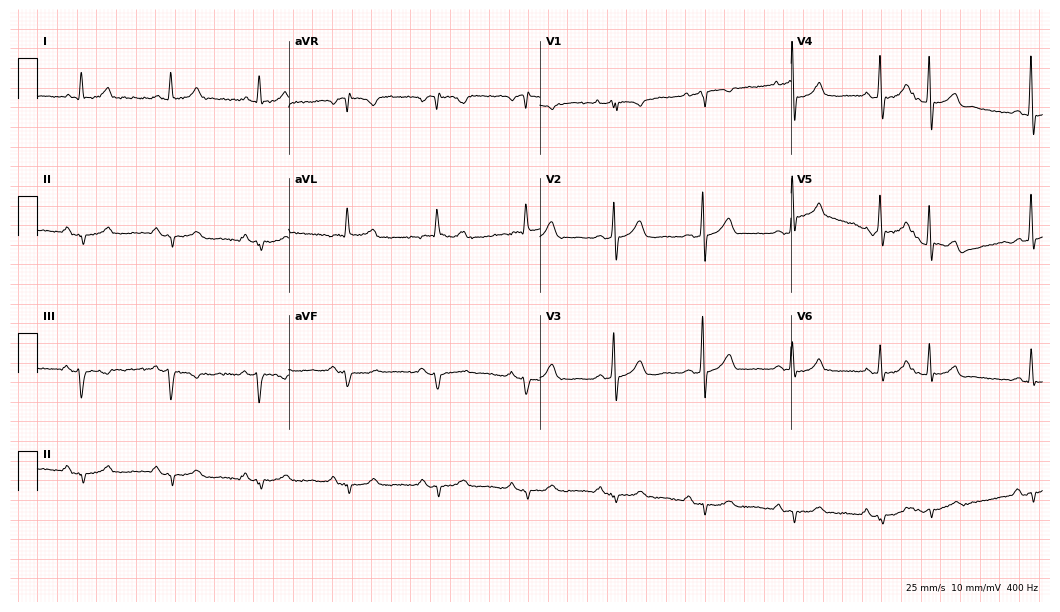
12-lead ECG from a 76-year-old man. No first-degree AV block, right bundle branch block (RBBB), left bundle branch block (LBBB), sinus bradycardia, atrial fibrillation (AF) or sinus tachycardia recorded for this tracing.